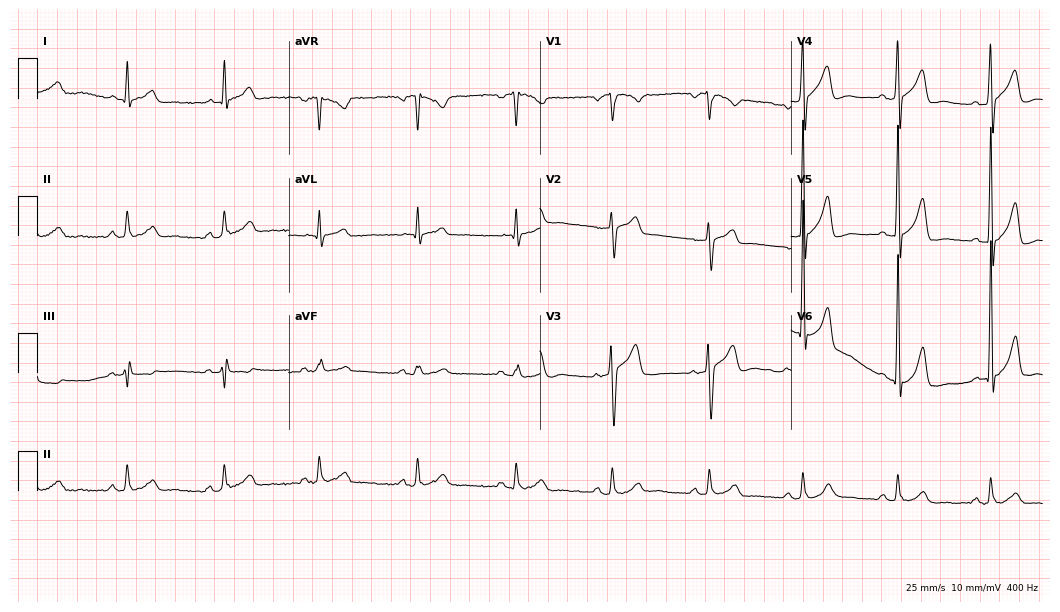
Electrocardiogram, a male, 57 years old. Overall reading on record: normal ECG.